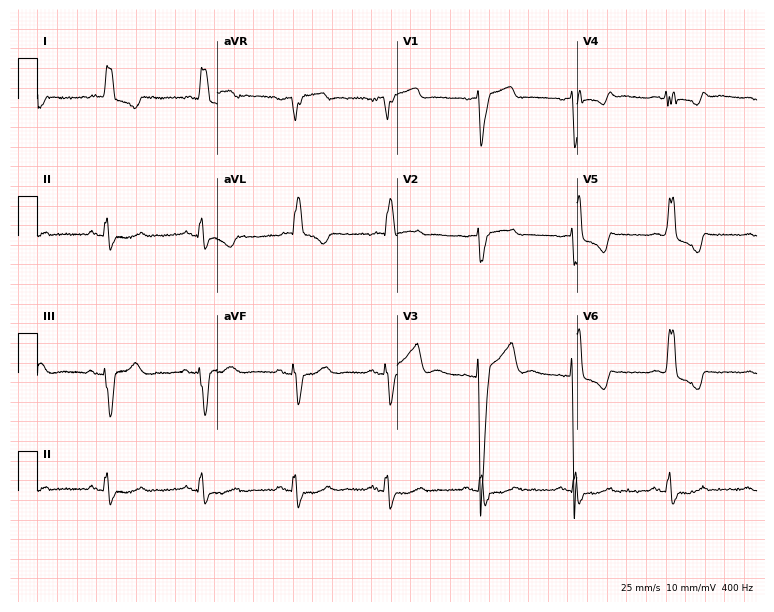
Standard 12-lead ECG recorded from a 78-year-old woman (7.3-second recording at 400 Hz). None of these six findings is recorded: first-degree AV block, right bundle branch block (RBBB), left bundle branch block (LBBB), sinus bradycardia, atrial fibrillation (AF), sinus tachycardia. Findings outside these six are not listed.